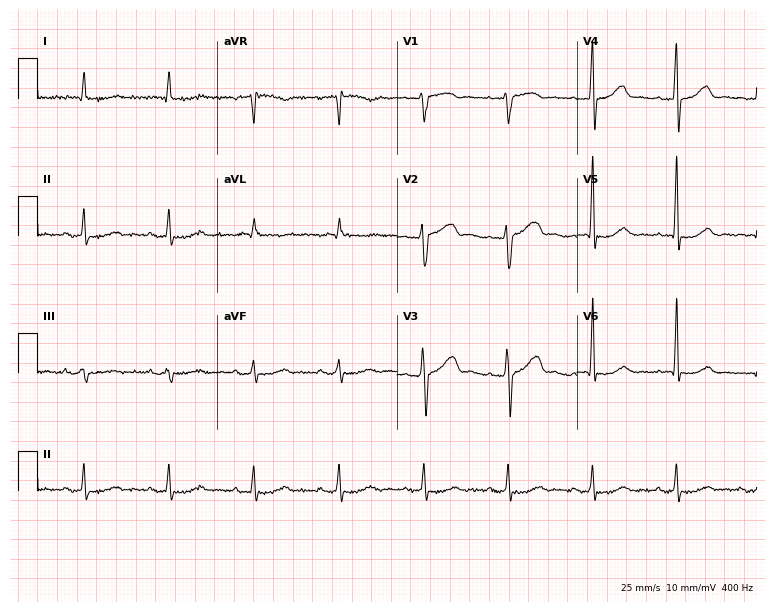
Resting 12-lead electrocardiogram (7.3-second recording at 400 Hz). Patient: a man, 76 years old. None of these six findings is recorded: first-degree AV block, right bundle branch block (RBBB), left bundle branch block (LBBB), sinus bradycardia, atrial fibrillation (AF), sinus tachycardia.